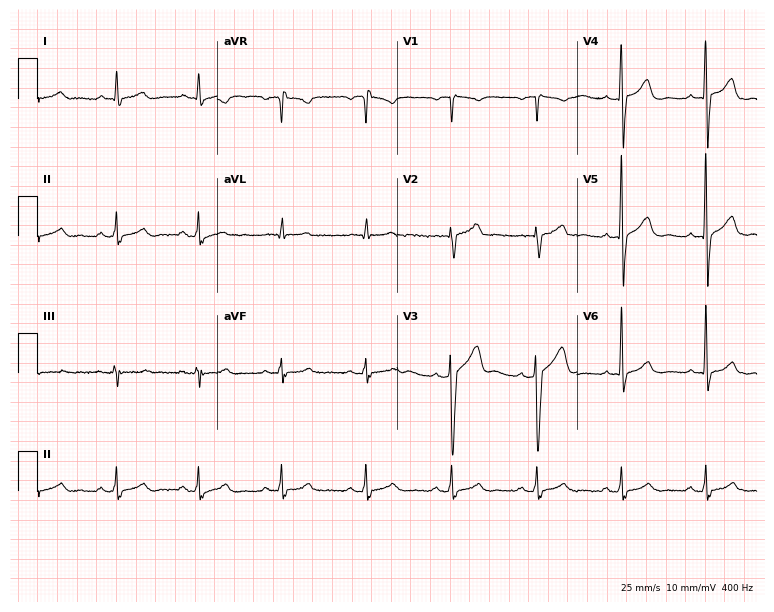
Electrocardiogram (7.3-second recording at 400 Hz), a man, 58 years old. Overall reading on record: normal ECG.